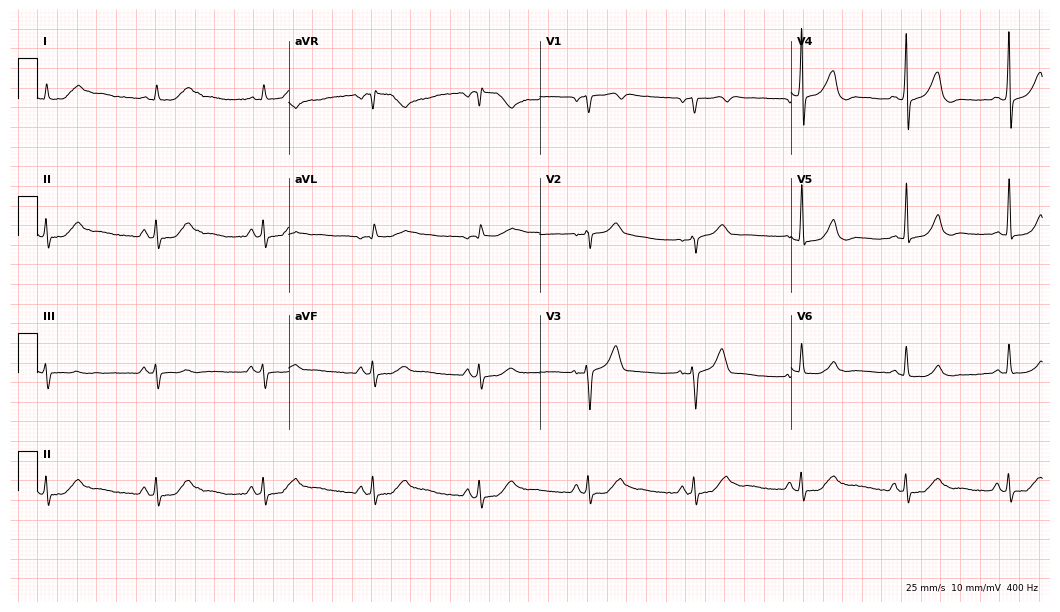
ECG — a 65-year-old male. Labelled as a normal ECG.